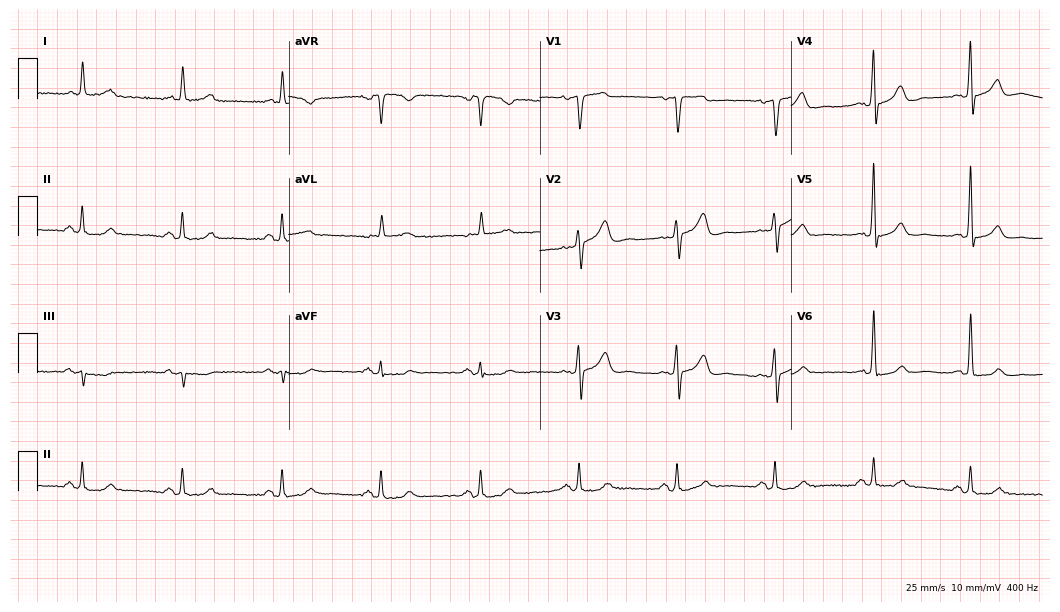
ECG (10.2-second recording at 400 Hz) — a male, 83 years old. Labelled as a normal ECG.